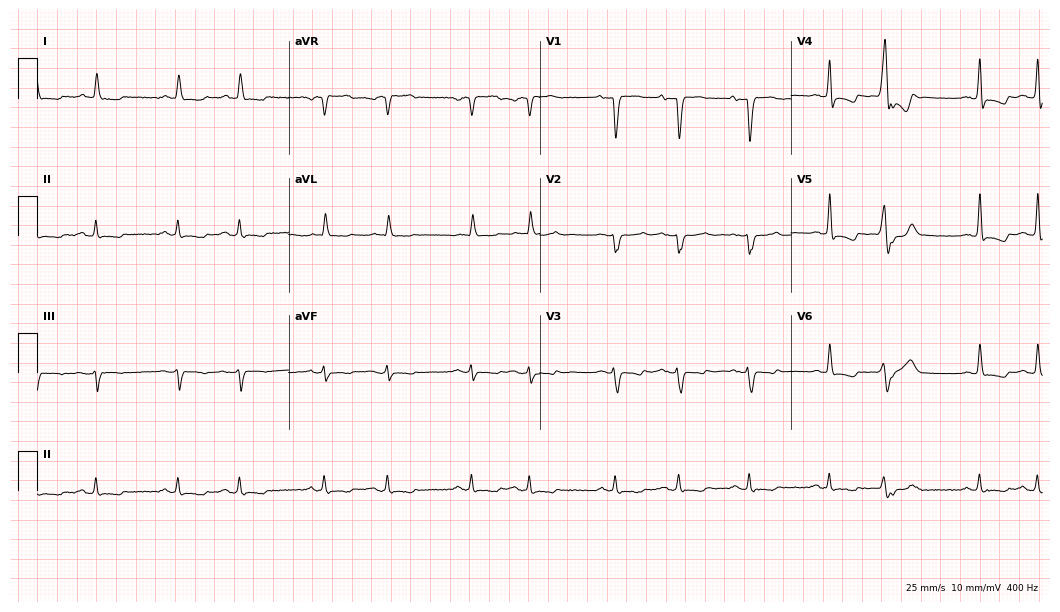
Standard 12-lead ECG recorded from a 74-year-old woman (10.2-second recording at 400 Hz). None of these six findings is recorded: first-degree AV block, right bundle branch block, left bundle branch block, sinus bradycardia, atrial fibrillation, sinus tachycardia.